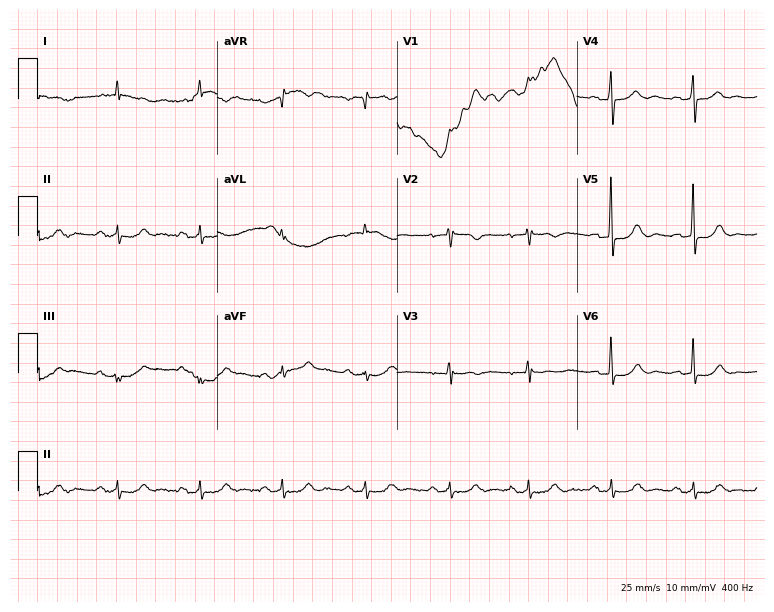
ECG (7.3-second recording at 400 Hz) — an 82-year-old female patient. Screened for six findings — first-degree AV block, right bundle branch block, left bundle branch block, sinus bradycardia, atrial fibrillation, sinus tachycardia — none is recorded. Only these six findings were labelled.